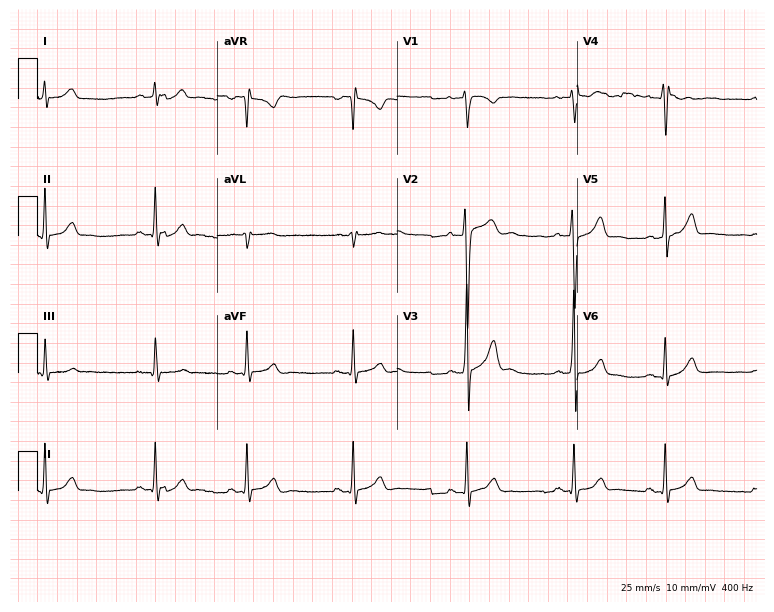
Electrocardiogram, a man, 19 years old. Overall reading on record: normal ECG.